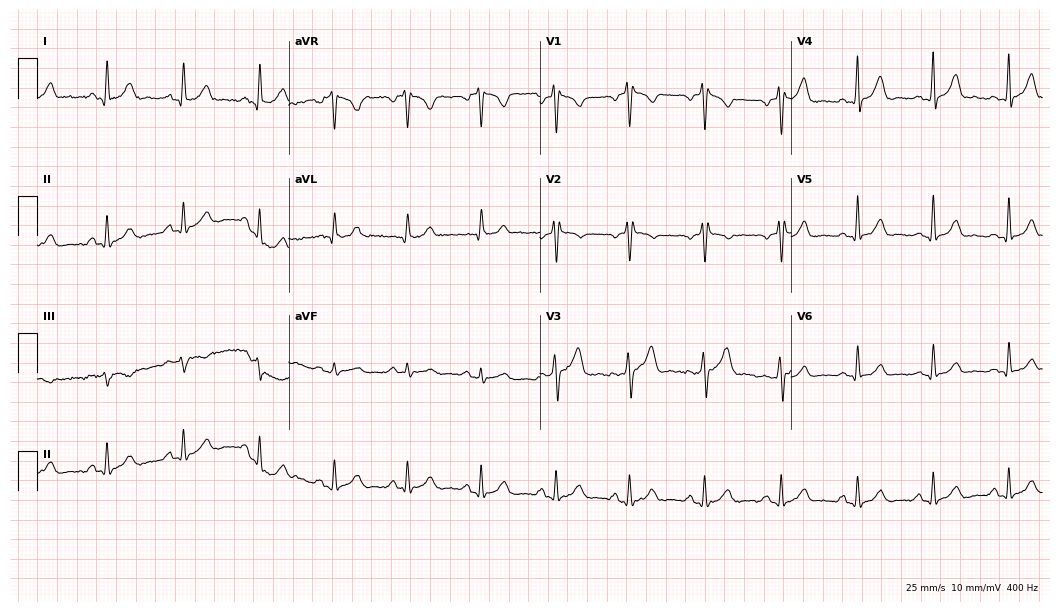
Standard 12-lead ECG recorded from a male, 31 years old (10.2-second recording at 400 Hz). None of these six findings is recorded: first-degree AV block, right bundle branch block, left bundle branch block, sinus bradycardia, atrial fibrillation, sinus tachycardia. Other findings, if any, are not listed.